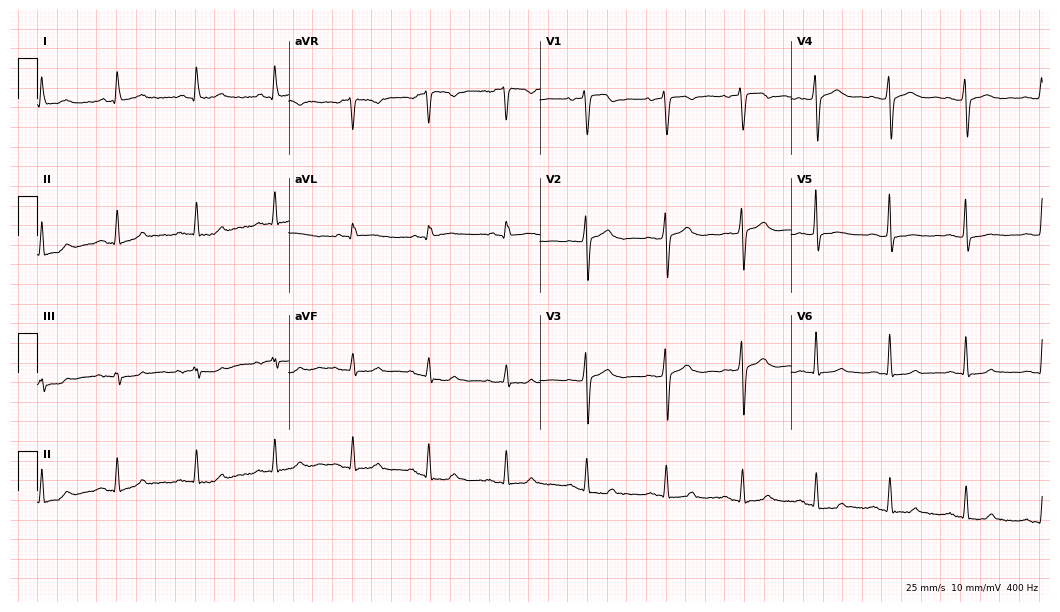
12-lead ECG from a 36-year-old female. No first-degree AV block, right bundle branch block, left bundle branch block, sinus bradycardia, atrial fibrillation or sinus tachycardia recorded for this tracing.